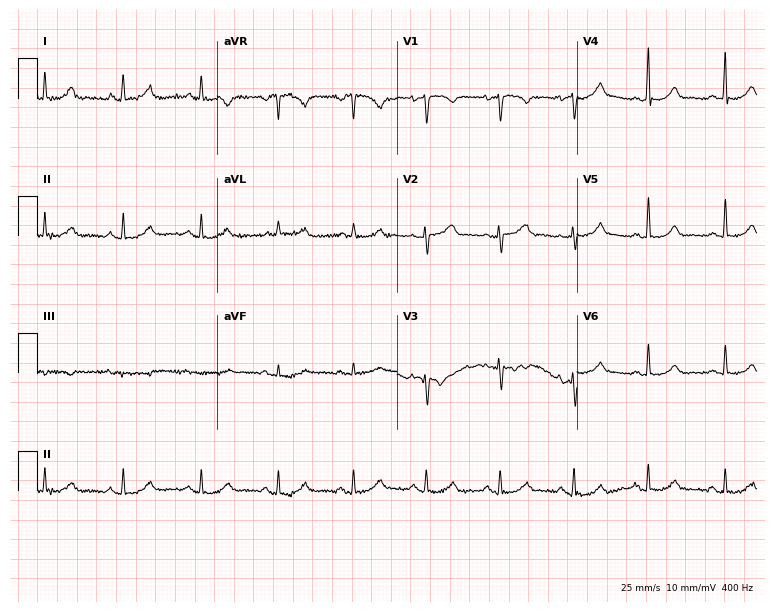
Standard 12-lead ECG recorded from a female patient, 49 years old (7.3-second recording at 400 Hz). None of these six findings is recorded: first-degree AV block, right bundle branch block, left bundle branch block, sinus bradycardia, atrial fibrillation, sinus tachycardia.